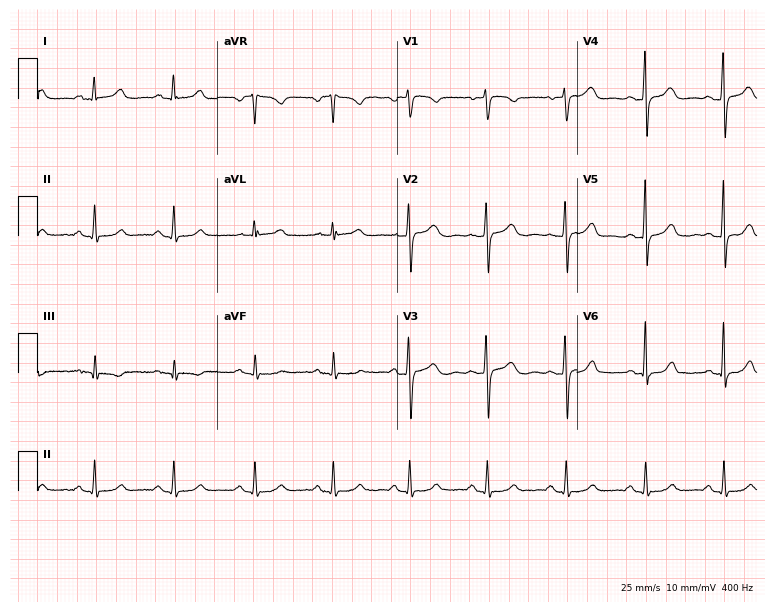
Electrocardiogram, a female, 52 years old. Overall reading on record: normal ECG.